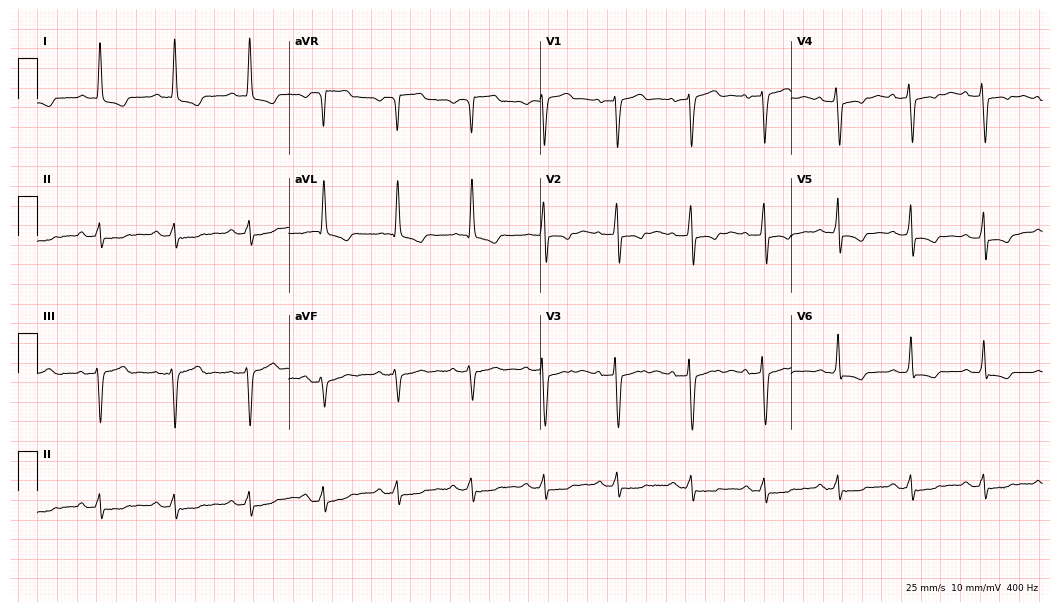
12-lead ECG from a 79-year-old female. Screened for six findings — first-degree AV block, right bundle branch block (RBBB), left bundle branch block (LBBB), sinus bradycardia, atrial fibrillation (AF), sinus tachycardia — none is recorded.